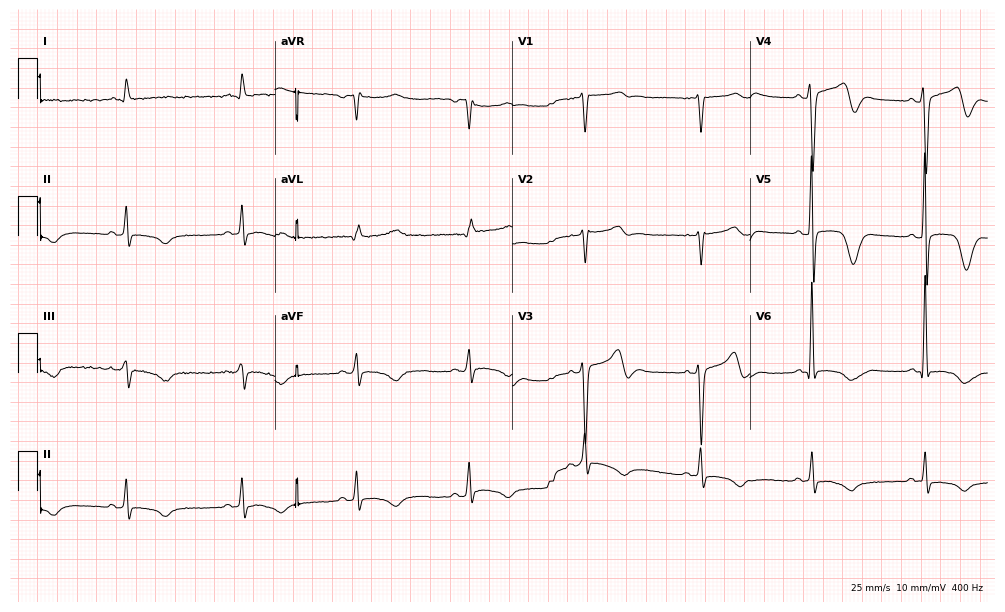
12-lead ECG from a 55-year-old male patient. Findings include sinus bradycardia (a sinus rate of 50 beats per minute or less).